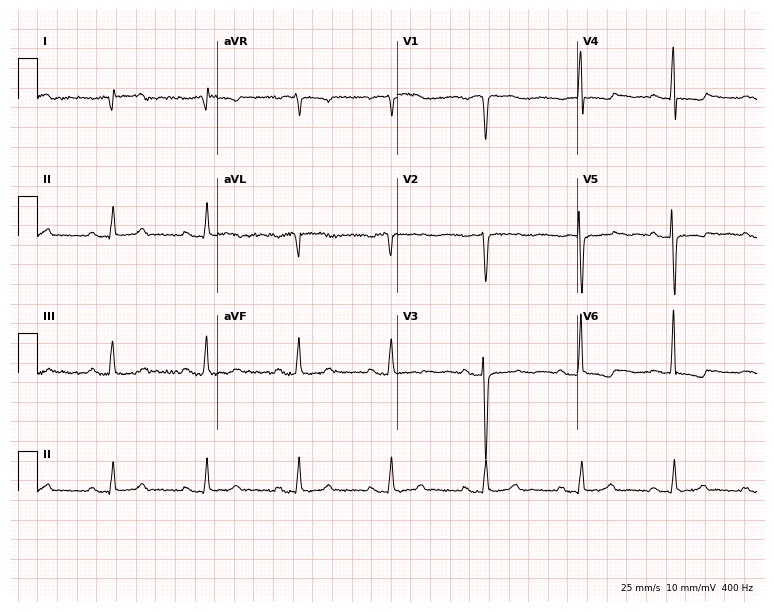
ECG — a female patient, 49 years old. Screened for six findings — first-degree AV block, right bundle branch block, left bundle branch block, sinus bradycardia, atrial fibrillation, sinus tachycardia — none is recorded. Only these six findings were labelled.